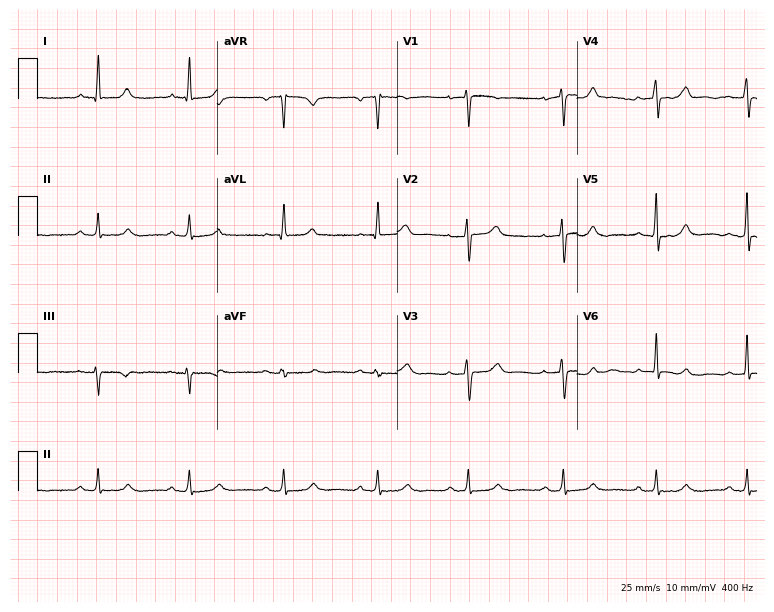
12-lead ECG from a 41-year-old female (7.3-second recording at 400 Hz). Recorded interpretation: within normal limits.